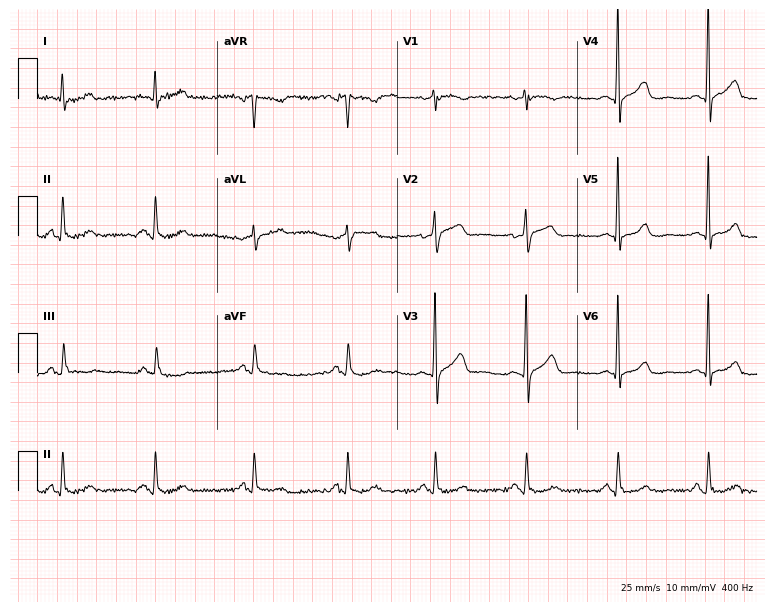
Electrocardiogram, a male, 54 years old. Of the six screened findings (first-degree AV block, right bundle branch block (RBBB), left bundle branch block (LBBB), sinus bradycardia, atrial fibrillation (AF), sinus tachycardia), none is recorded. Findings outside these six are not listed.